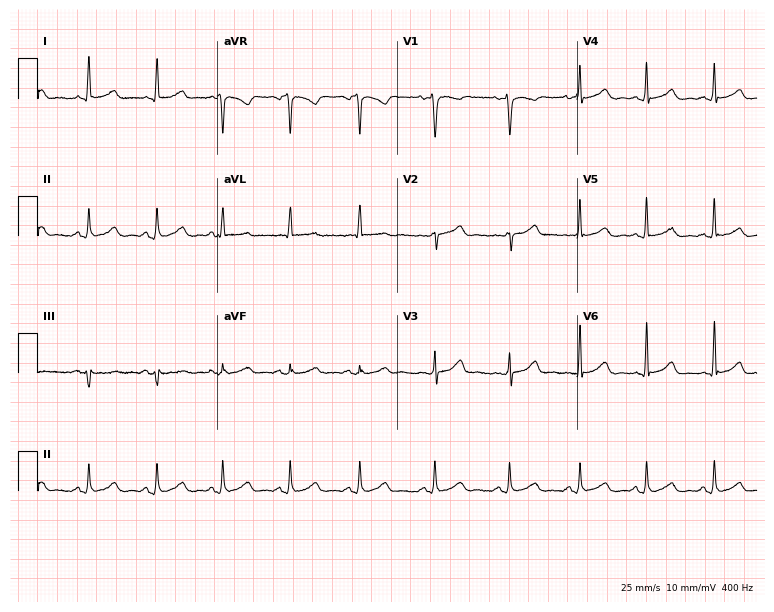
ECG (7.3-second recording at 400 Hz) — a 37-year-old female patient. Labelled as a normal ECG.